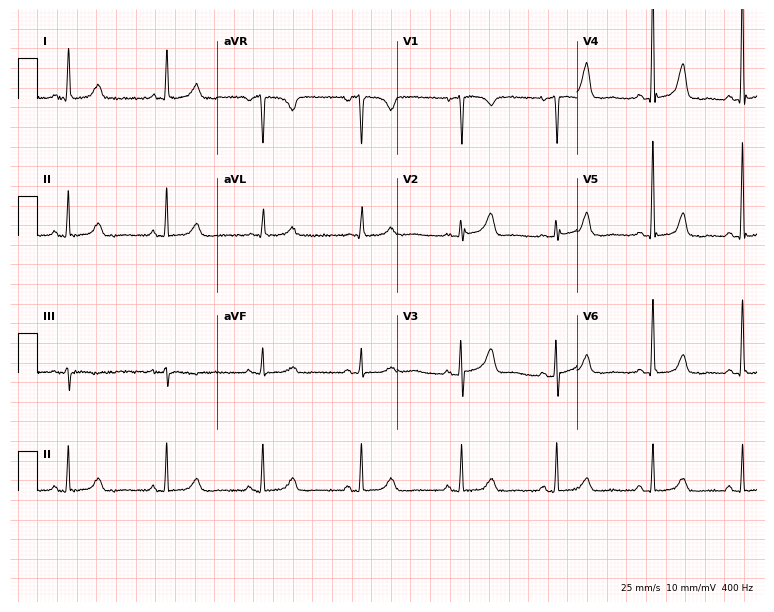
Resting 12-lead electrocardiogram (7.3-second recording at 400 Hz). Patient: a 71-year-old female. Read as a normal ECG.